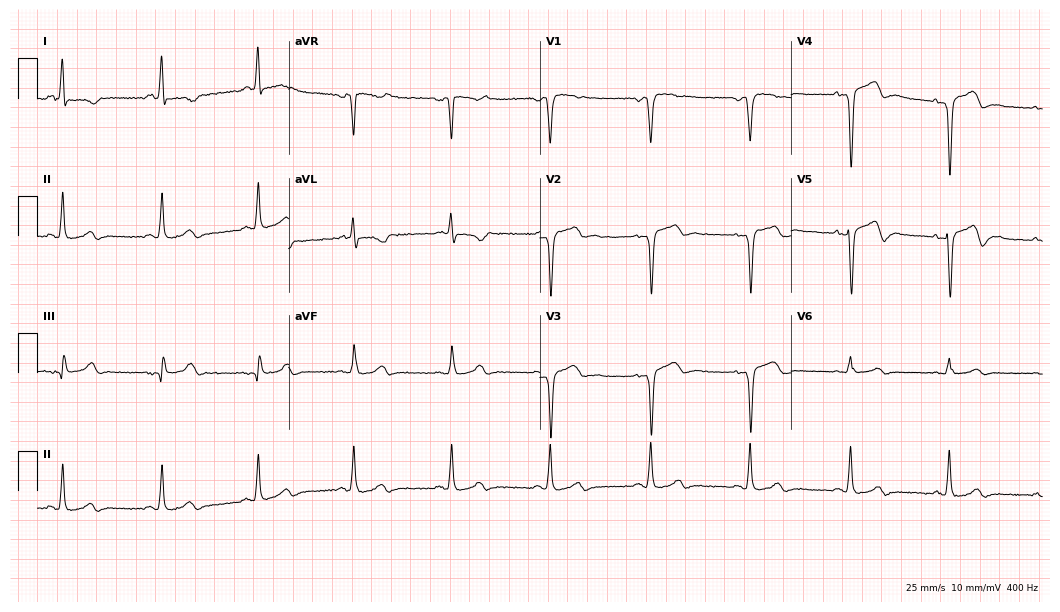
12-lead ECG from a male patient, 74 years old. Screened for six findings — first-degree AV block, right bundle branch block, left bundle branch block, sinus bradycardia, atrial fibrillation, sinus tachycardia — none is recorded. Only these six findings were labelled.